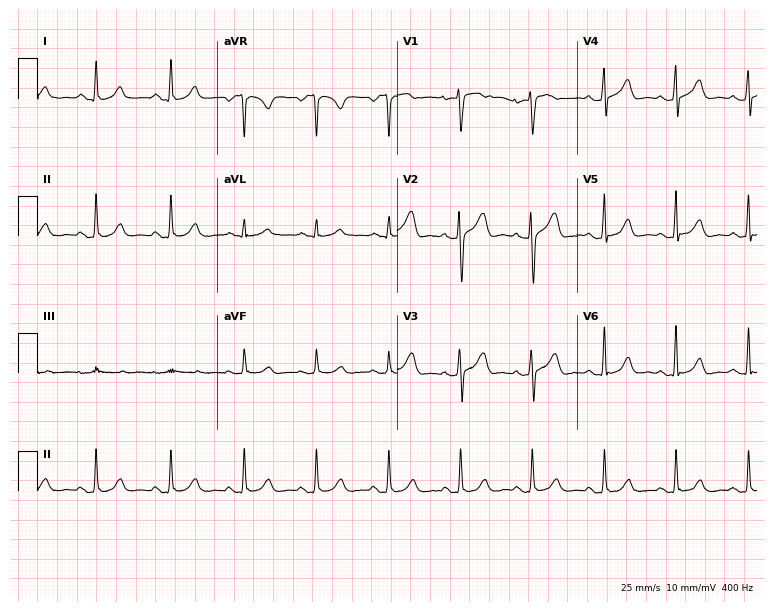
ECG — a 36-year-old man. Labelled as a normal ECG.